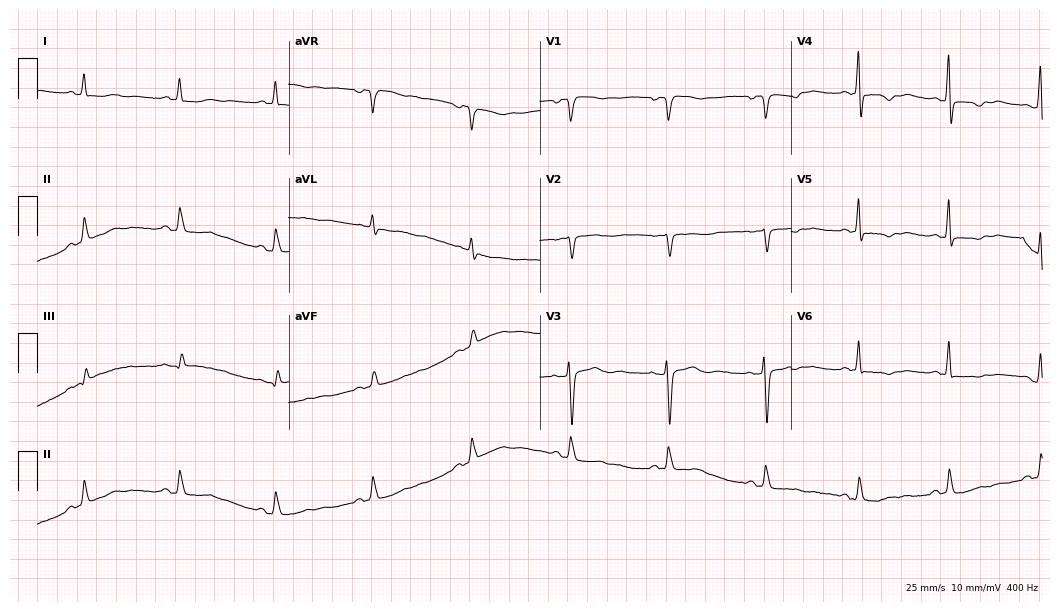
ECG — a 58-year-old woman. Labelled as a normal ECG.